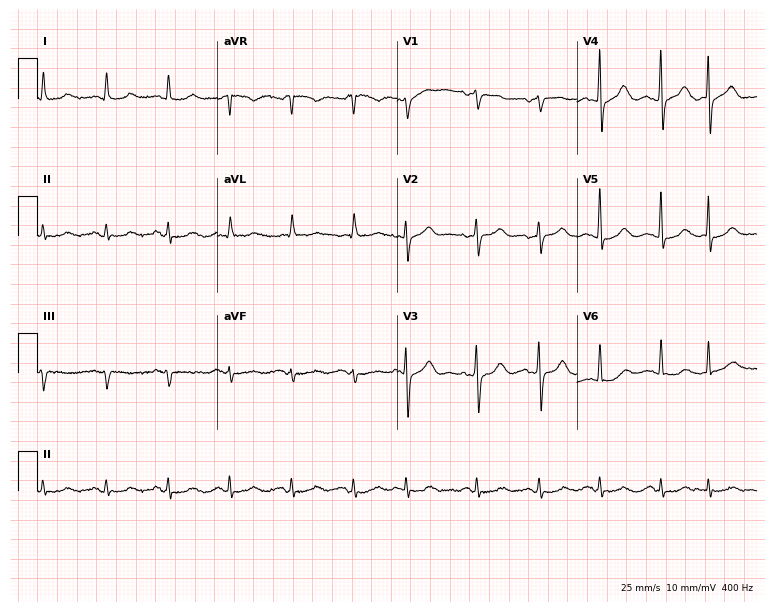
ECG (7.3-second recording at 400 Hz) — a woman, 80 years old. Screened for six findings — first-degree AV block, right bundle branch block, left bundle branch block, sinus bradycardia, atrial fibrillation, sinus tachycardia — none is recorded.